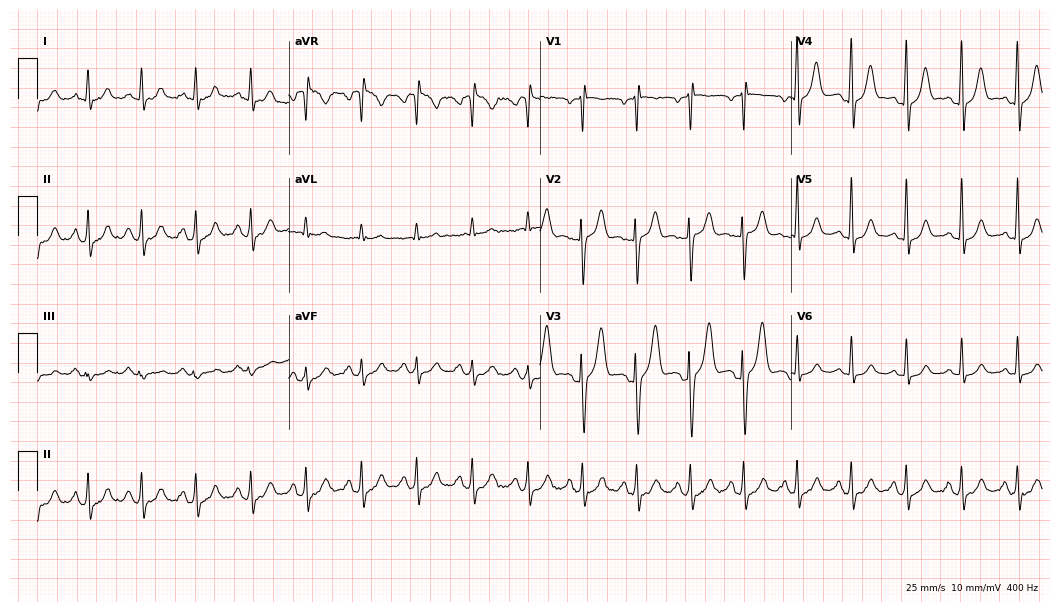
Resting 12-lead electrocardiogram (10.2-second recording at 400 Hz). Patient: a man, 37 years old. None of these six findings is recorded: first-degree AV block, right bundle branch block, left bundle branch block, sinus bradycardia, atrial fibrillation, sinus tachycardia. Only these six findings were labelled.